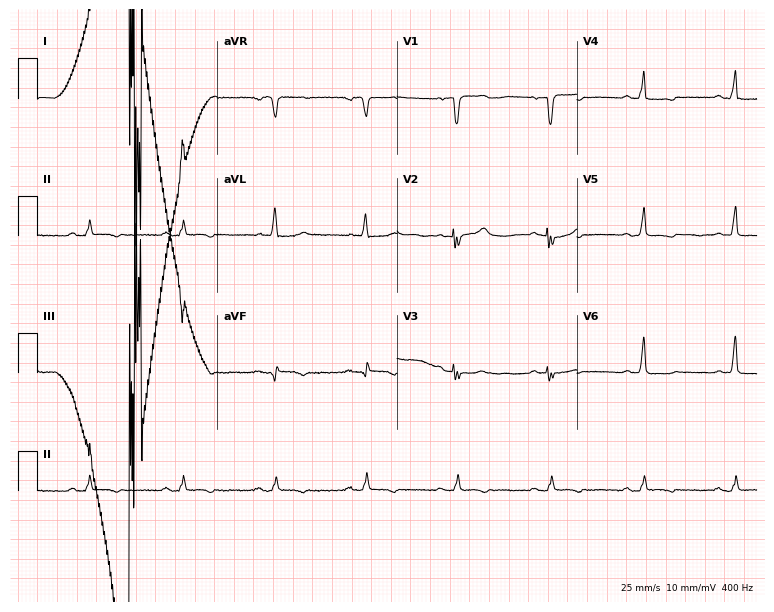
12-lead ECG from a 75-year-old female. No first-degree AV block, right bundle branch block, left bundle branch block, sinus bradycardia, atrial fibrillation or sinus tachycardia recorded for this tracing. Findings outside these six are not listed.